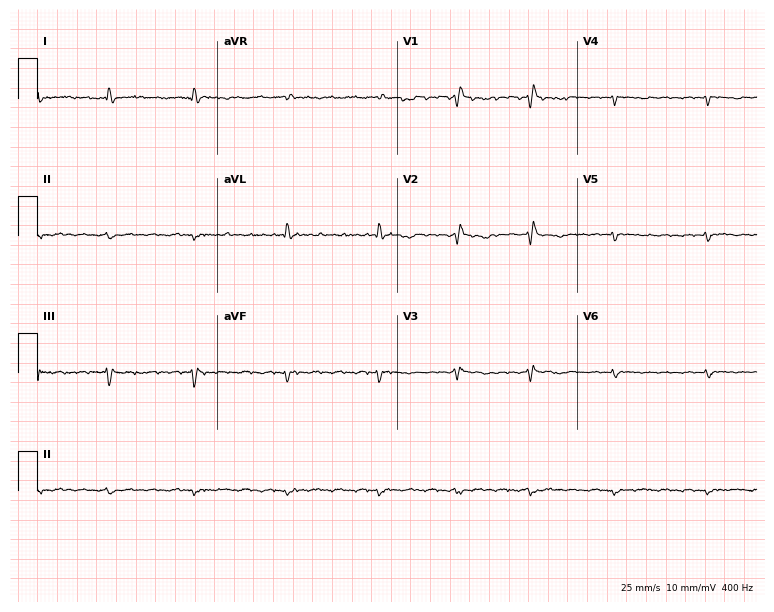
12-lead ECG from a 68-year-old female. No first-degree AV block, right bundle branch block (RBBB), left bundle branch block (LBBB), sinus bradycardia, atrial fibrillation (AF) or sinus tachycardia recorded for this tracing.